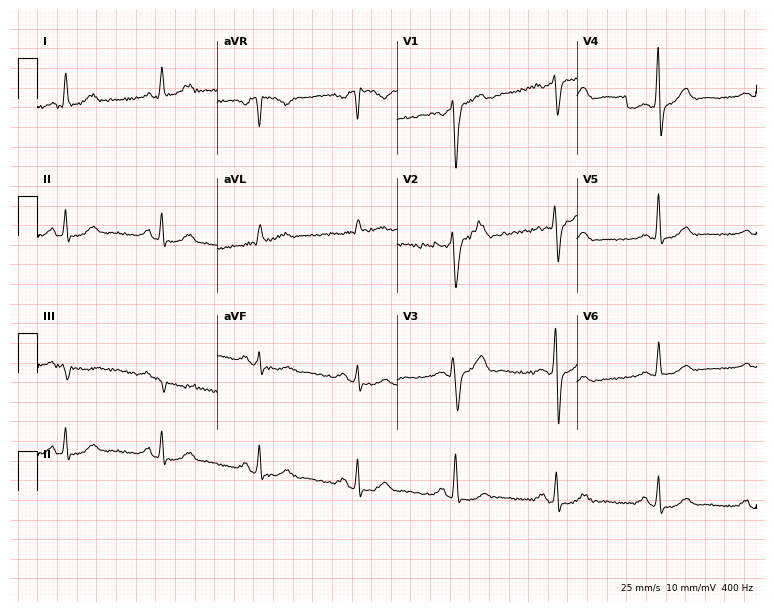
ECG (7.3-second recording at 400 Hz) — a female, 66 years old. Screened for six findings — first-degree AV block, right bundle branch block, left bundle branch block, sinus bradycardia, atrial fibrillation, sinus tachycardia — none is recorded.